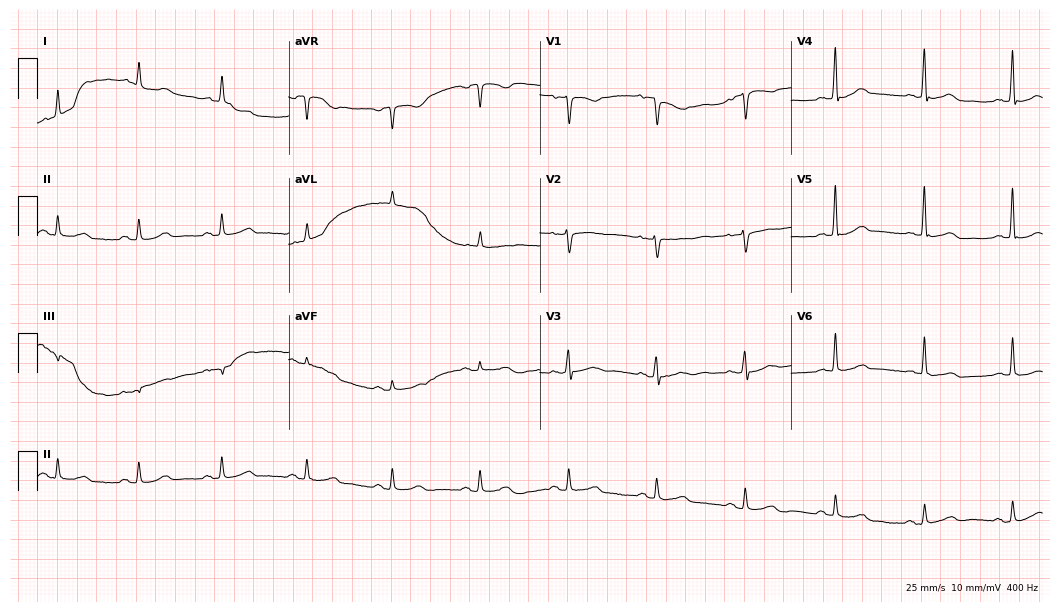
12-lead ECG from an 84-year-old woman. Labelled as a normal ECG.